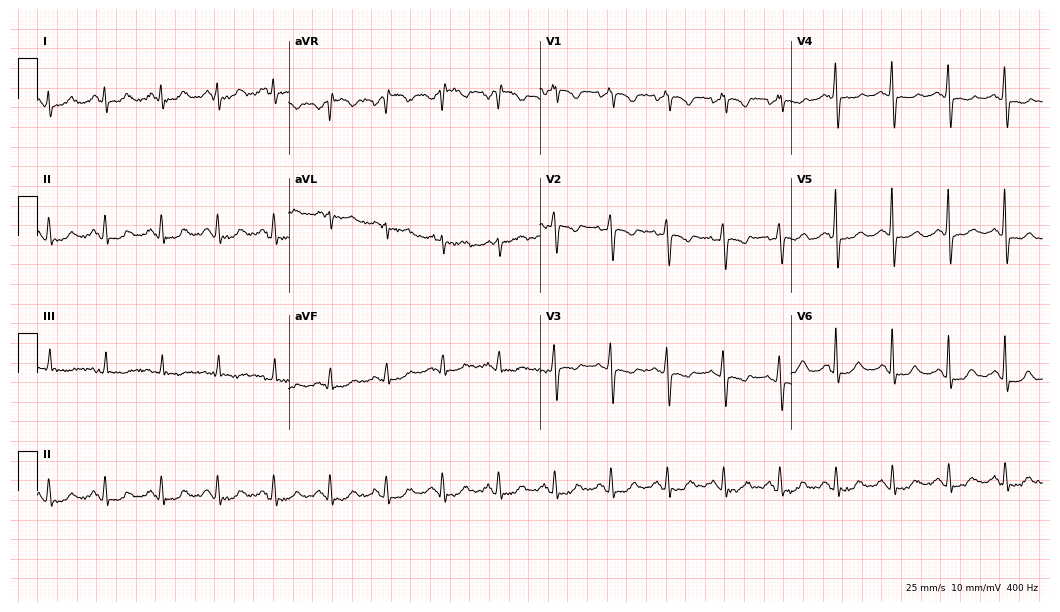
12-lead ECG (10.2-second recording at 400 Hz) from a female, 77 years old. Findings include sinus tachycardia (a sinus rate of 100 beats per minute or more).